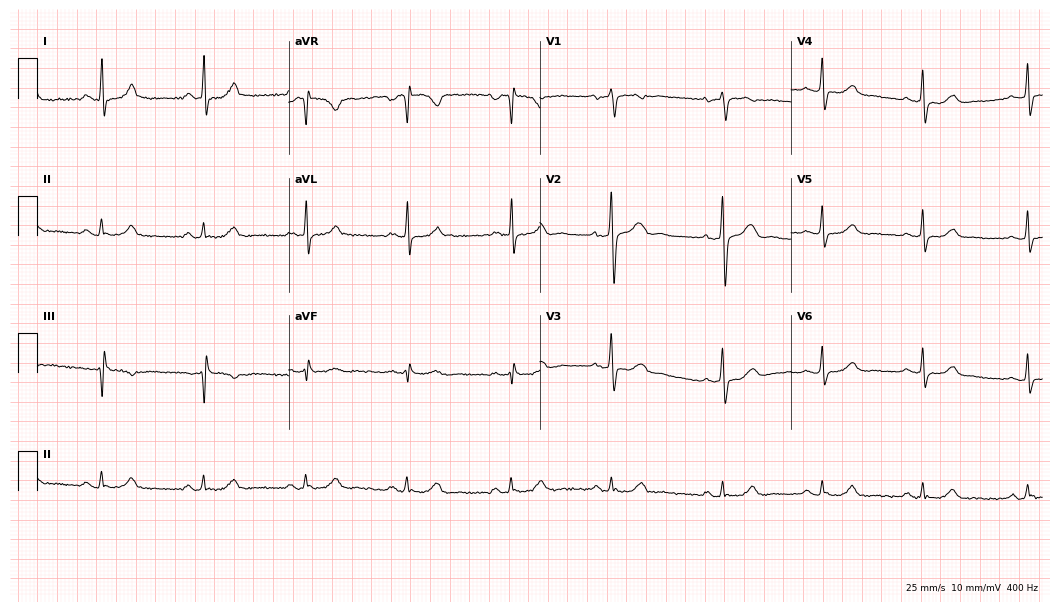
12-lead ECG from a 47-year-old female (10.2-second recording at 400 Hz). Recorded interpretation: within normal limits.